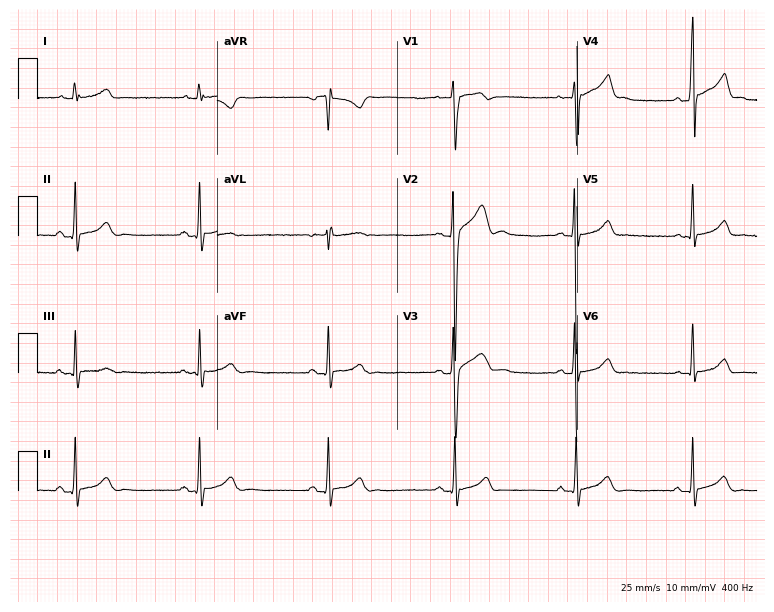
12-lead ECG from a male, 24 years old (7.3-second recording at 400 Hz). Shows sinus bradycardia (a sinus rate of 50 beats per minute or less).